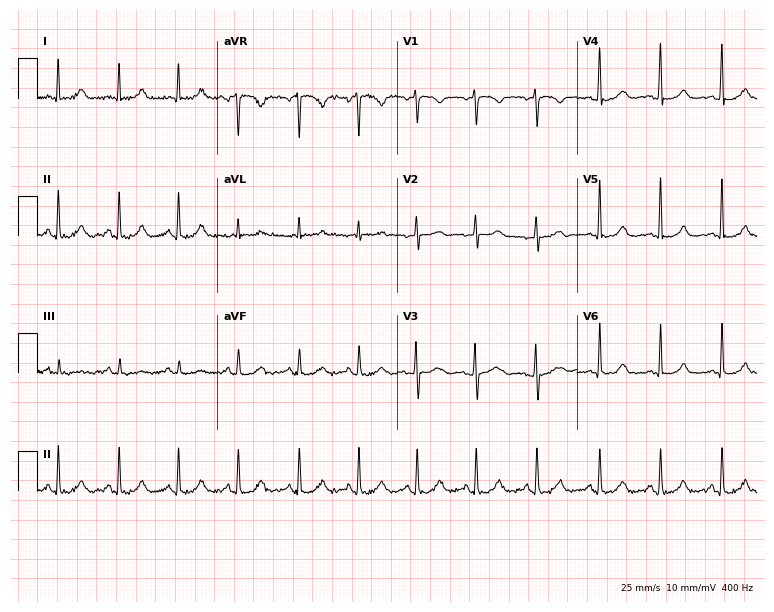
ECG — a 43-year-old female. Labelled as a normal ECG.